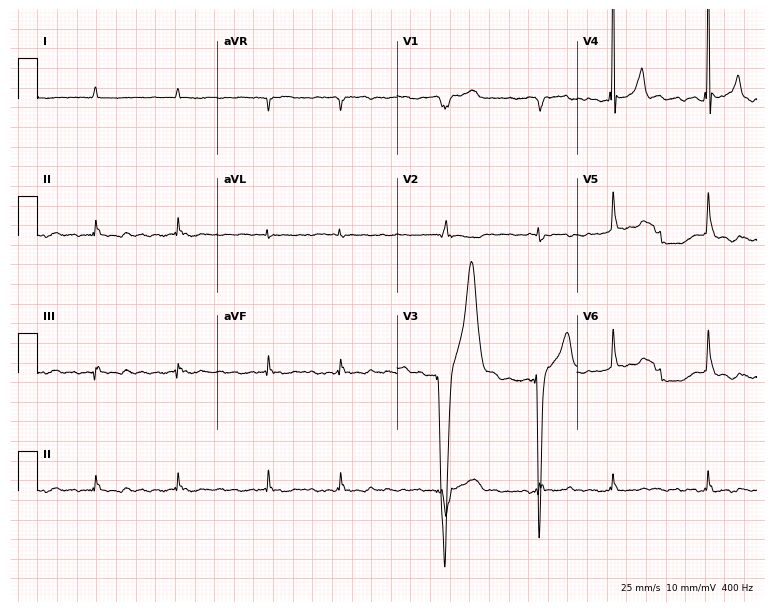
12-lead ECG from a 73-year-old male patient. Findings include atrial fibrillation.